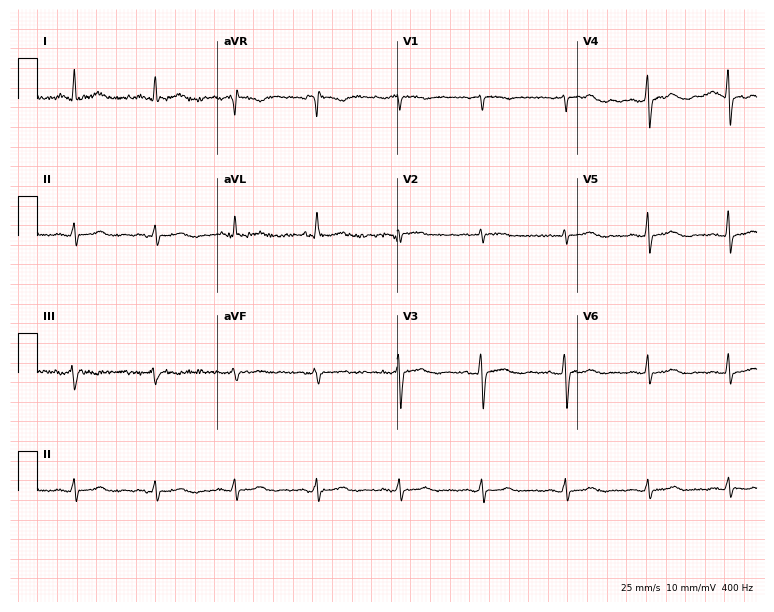
Electrocardiogram (7.3-second recording at 400 Hz), a 60-year-old woman. Overall reading on record: normal ECG.